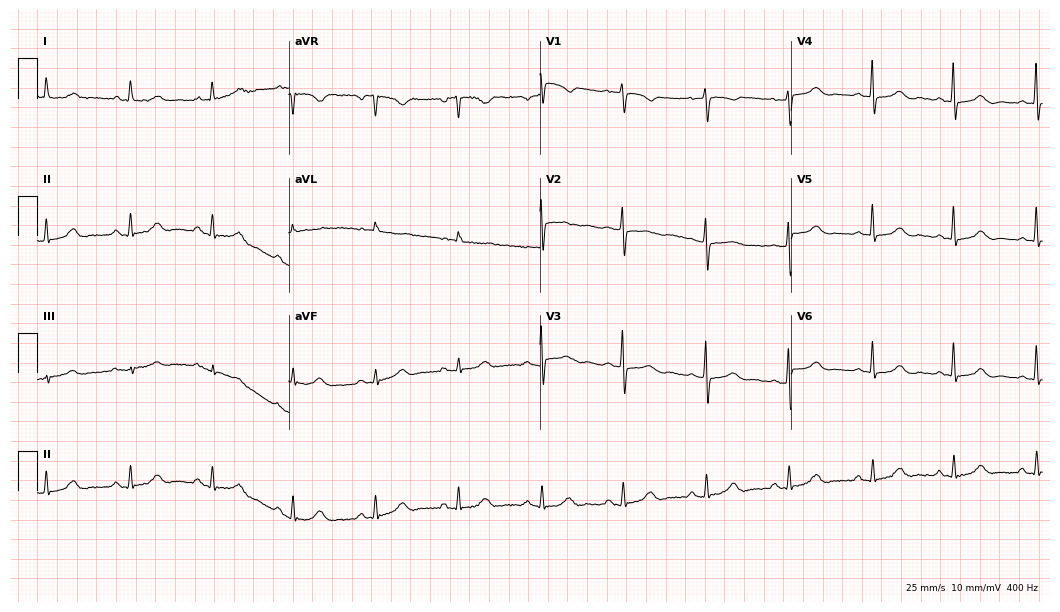
Standard 12-lead ECG recorded from a female, 74 years old (10.2-second recording at 400 Hz). None of these six findings is recorded: first-degree AV block, right bundle branch block, left bundle branch block, sinus bradycardia, atrial fibrillation, sinus tachycardia. Other findings, if any, are not listed.